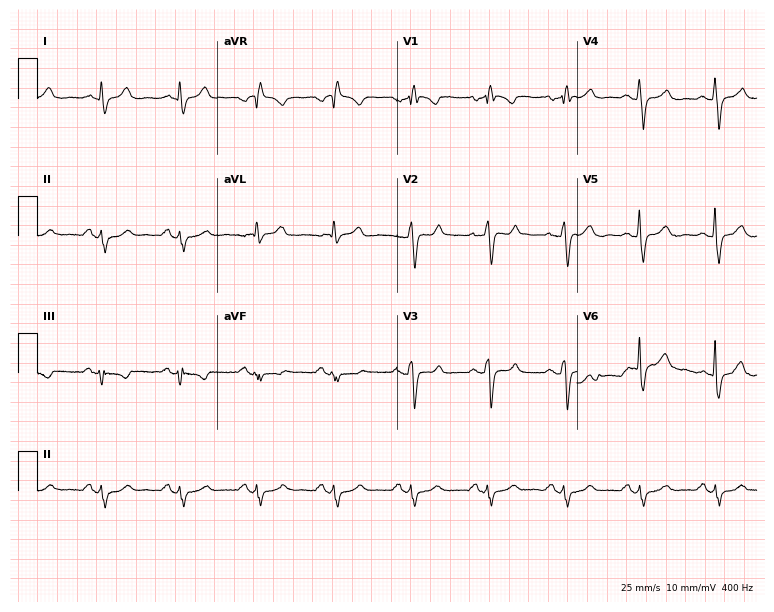
Electrocardiogram, a male, 54 years old. Interpretation includes right bundle branch block (RBBB).